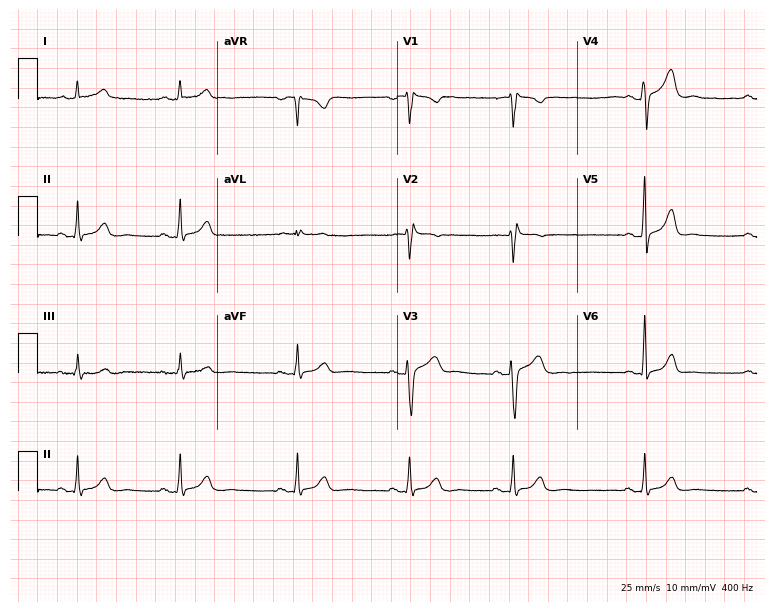
Electrocardiogram, a 28-year-old female. Of the six screened findings (first-degree AV block, right bundle branch block, left bundle branch block, sinus bradycardia, atrial fibrillation, sinus tachycardia), none is recorded. Other findings, if any, are not listed.